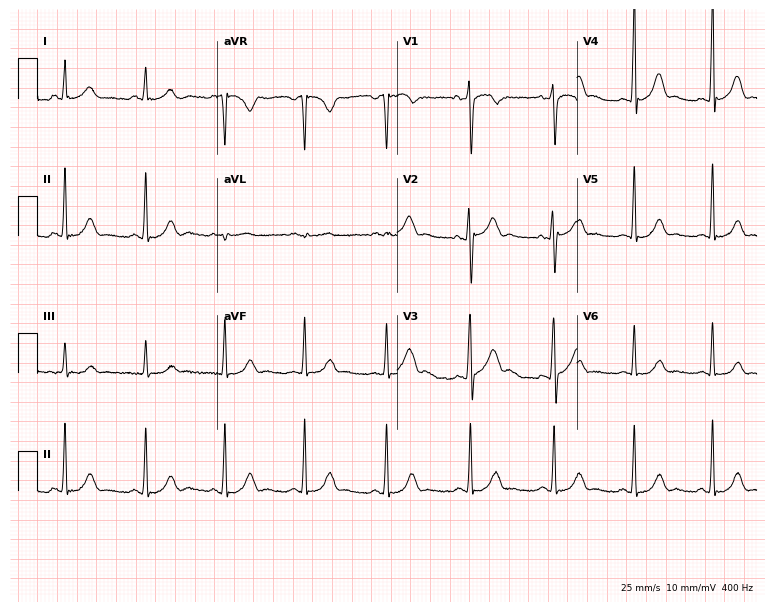
Electrocardiogram (7.3-second recording at 400 Hz), a man, 37 years old. Of the six screened findings (first-degree AV block, right bundle branch block (RBBB), left bundle branch block (LBBB), sinus bradycardia, atrial fibrillation (AF), sinus tachycardia), none is recorded. Findings outside these six are not listed.